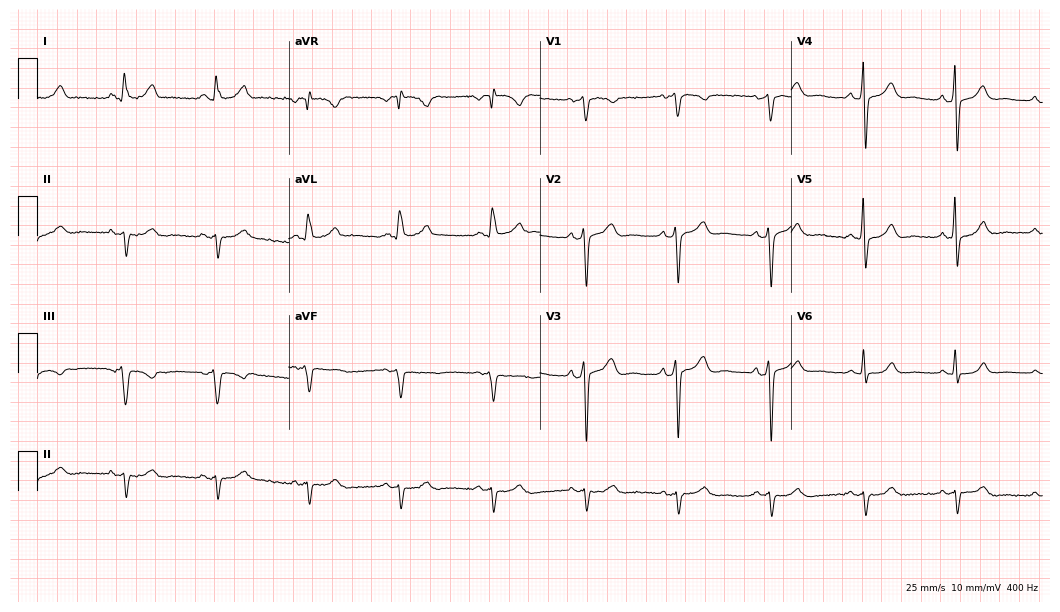
Resting 12-lead electrocardiogram (10.2-second recording at 400 Hz). Patient: a male, 68 years old. None of these six findings is recorded: first-degree AV block, right bundle branch block (RBBB), left bundle branch block (LBBB), sinus bradycardia, atrial fibrillation (AF), sinus tachycardia.